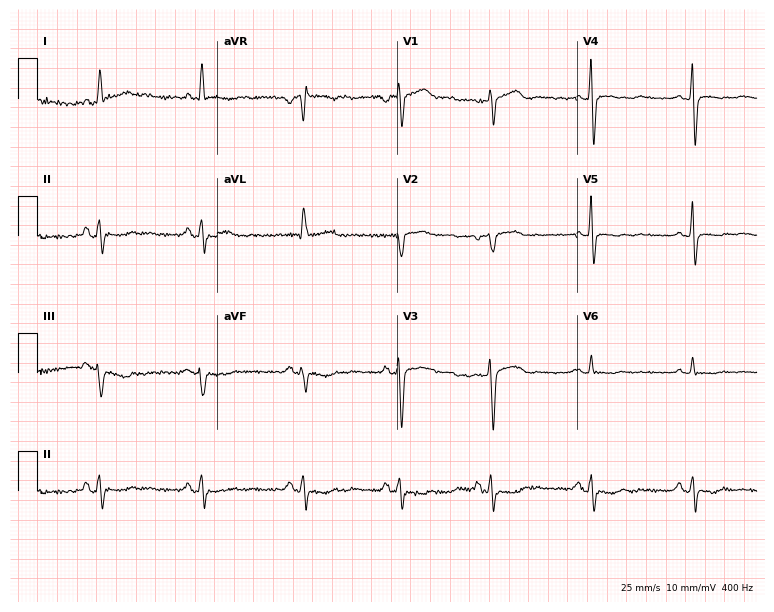
Resting 12-lead electrocardiogram (7.3-second recording at 400 Hz). Patient: a 64-year-old female. None of these six findings is recorded: first-degree AV block, right bundle branch block, left bundle branch block, sinus bradycardia, atrial fibrillation, sinus tachycardia. Only these six findings were labelled.